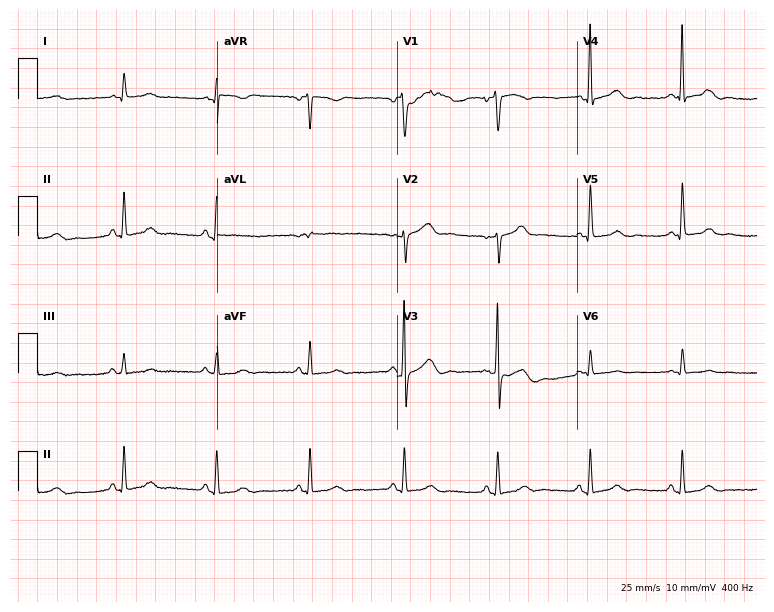
12-lead ECG from a male, 56 years old. No first-degree AV block, right bundle branch block, left bundle branch block, sinus bradycardia, atrial fibrillation or sinus tachycardia recorded for this tracing. Only these six findings were labelled.